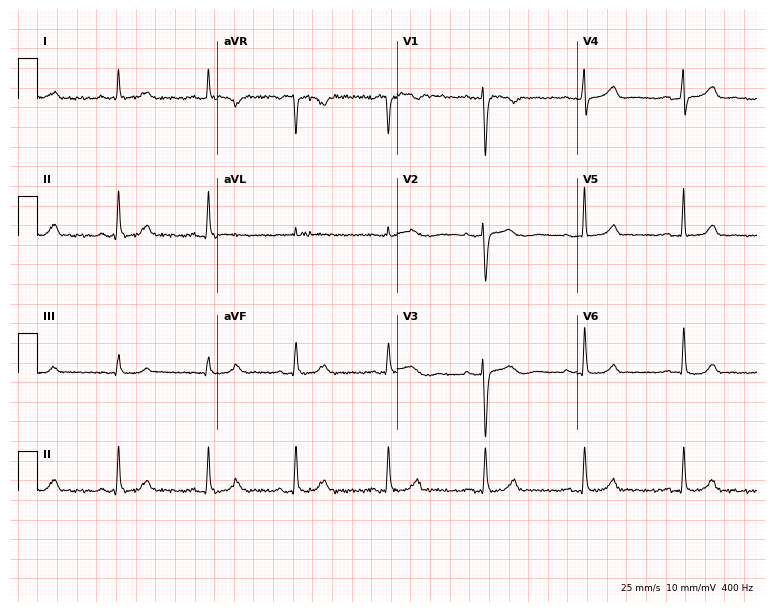
Standard 12-lead ECG recorded from a woman, 43 years old (7.3-second recording at 400 Hz). Read as a normal ECG.